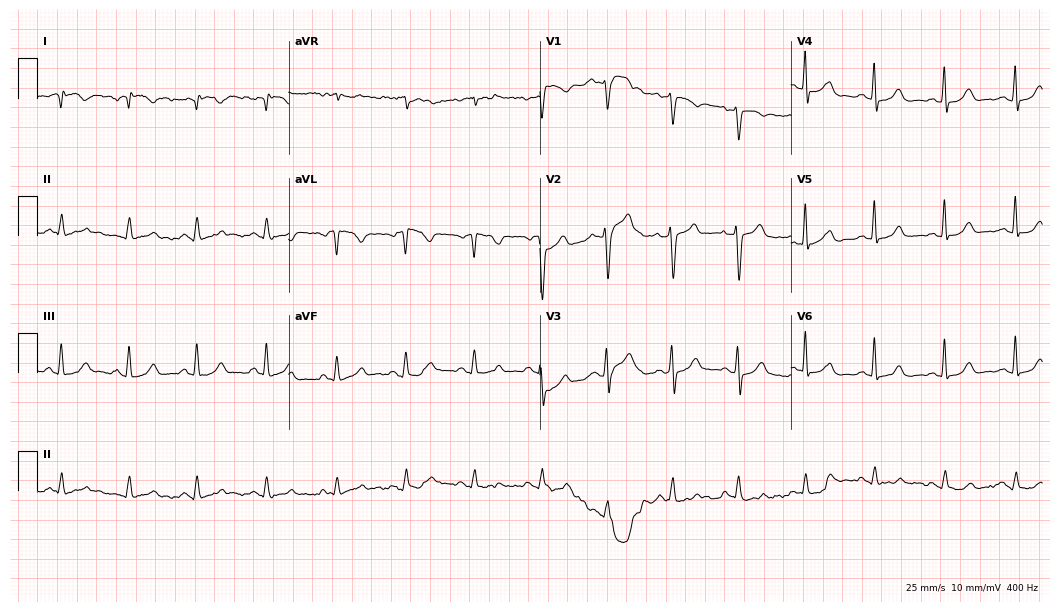
12-lead ECG (10.2-second recording at 400 Hz) from a female, 49 years old. Screened for six findings — first-degree AV block, right bundle branch block (RBBB), left bundle branch block (LBBB), sinus bradycardia, atrial fibrillation (AF), sinus tachycardia — none is recorded. Other findings, if any, are not listed.